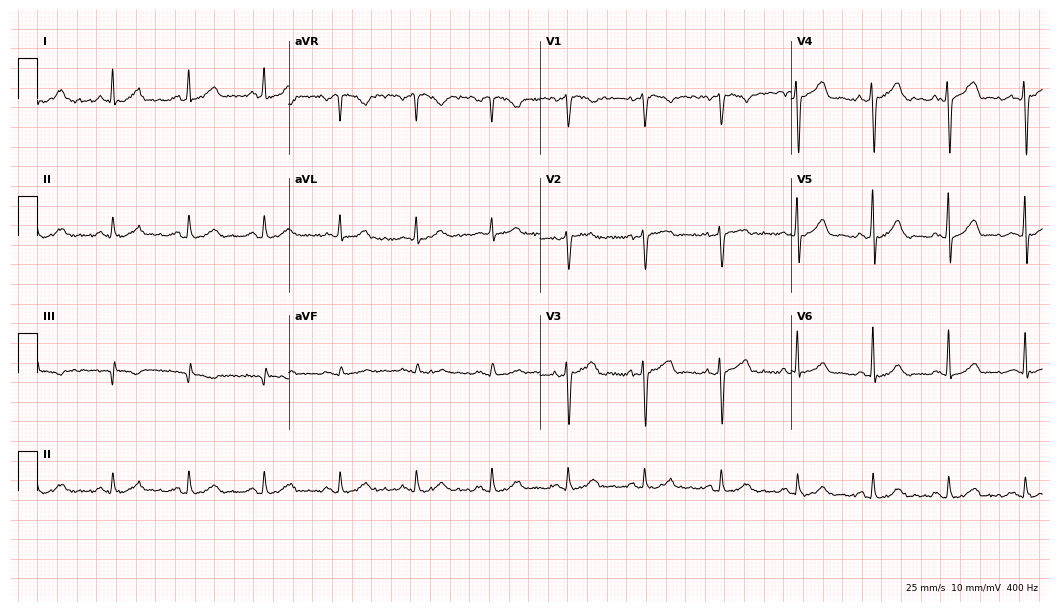
Resting 12-lead electrocardiogram. Patient: a 51-year-old male. None of these six findings is recorded: first-degree AV block, right bundle branch block, left bundle branch block, sinus bradycardia, atrial fibrillation, sinus tachycardia. Only these six findings were labelled.